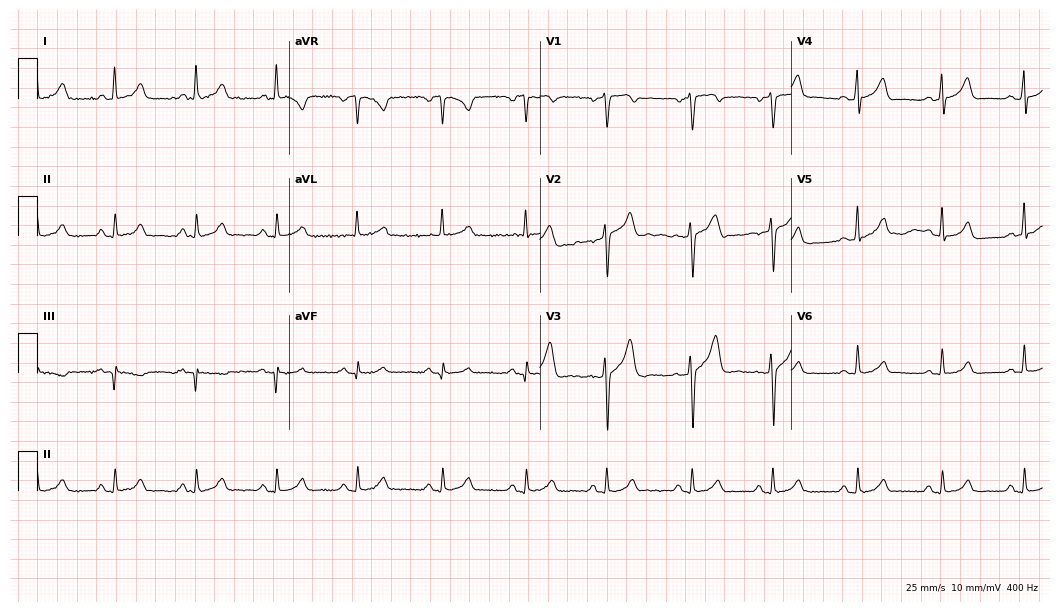
Electrocardiogram (10.2-second recording at 400 Hz), a 40-year-old male patient. Of the six screened findings (first-degree AV block, right bundle branch block (RBBB), left bundle branch block (LBBB), sinus bradycardia, atrial fibrillation (AF), sinus tachycardia), none is recorded. Other findings, if any, are not listed.